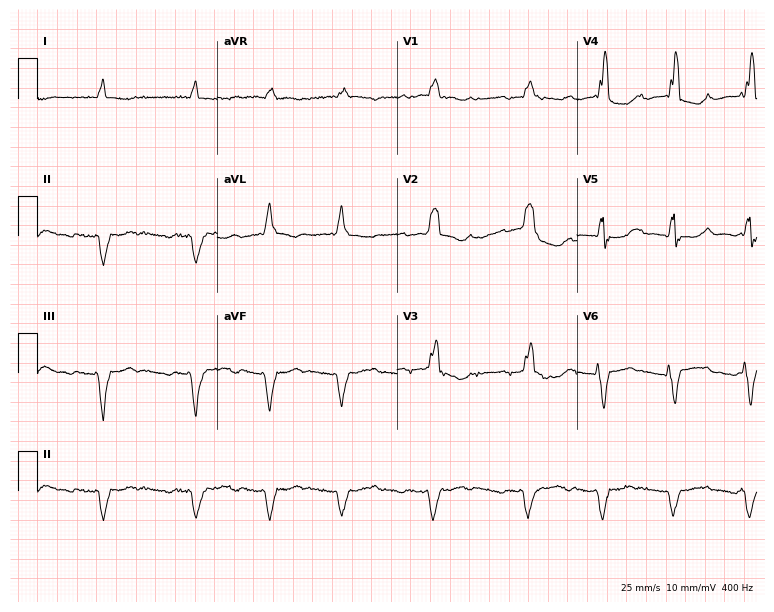
12-lead ECG from a 77-year-old male patient (7.3-second recording at 400 Hz). No first-degree AV block, right bundle branch block, left bundle branch block, sinus bradycardia, atrial fibrillation or sinus tachycardia recorded for this tracing.